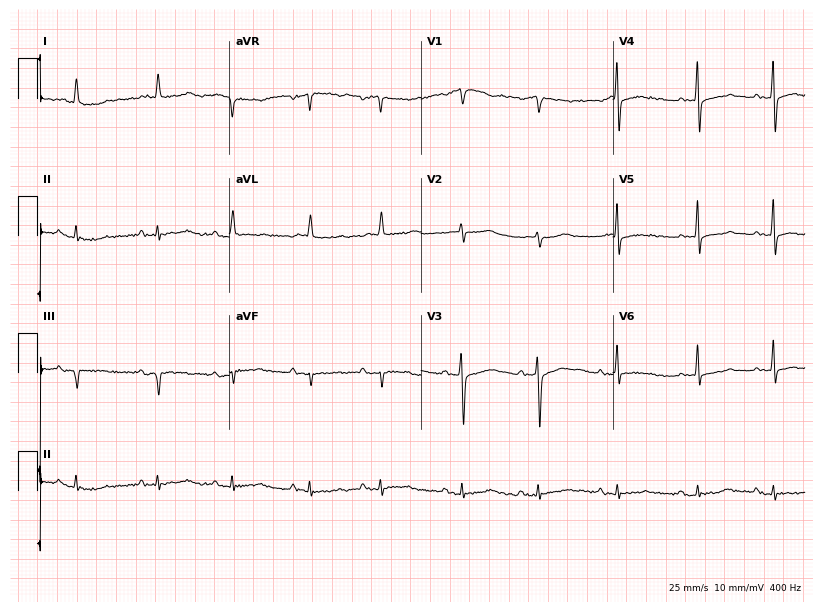
12-lead ECG from a female patient, 75 years old (7.8-second recording at 400 Hz). No first-degree AV block, right bundle branch block, left bundle branch block, sinus bradycardia, atrial fibrillation or sinus tachycardia recorded for this tracing. Findings outside these six are not listed.